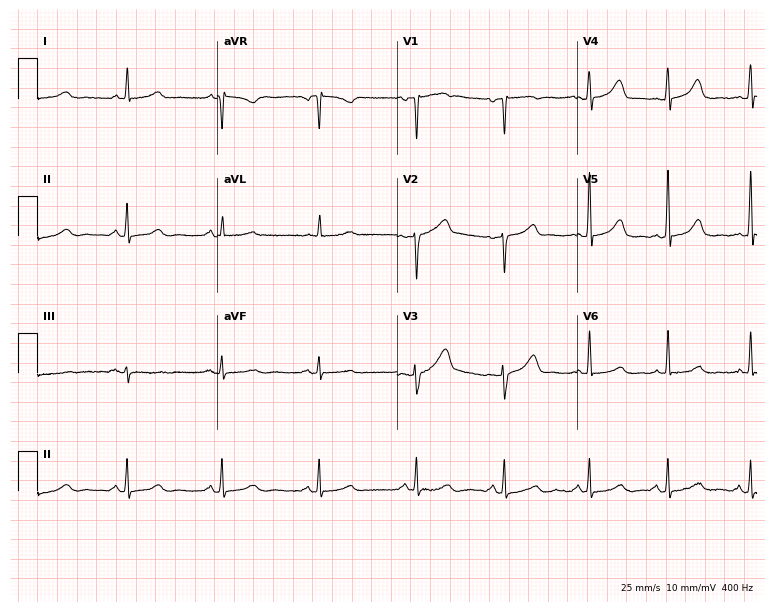
Standard 12-lead ECG recorded from a 64-year-old female. Read as a normal ECG.